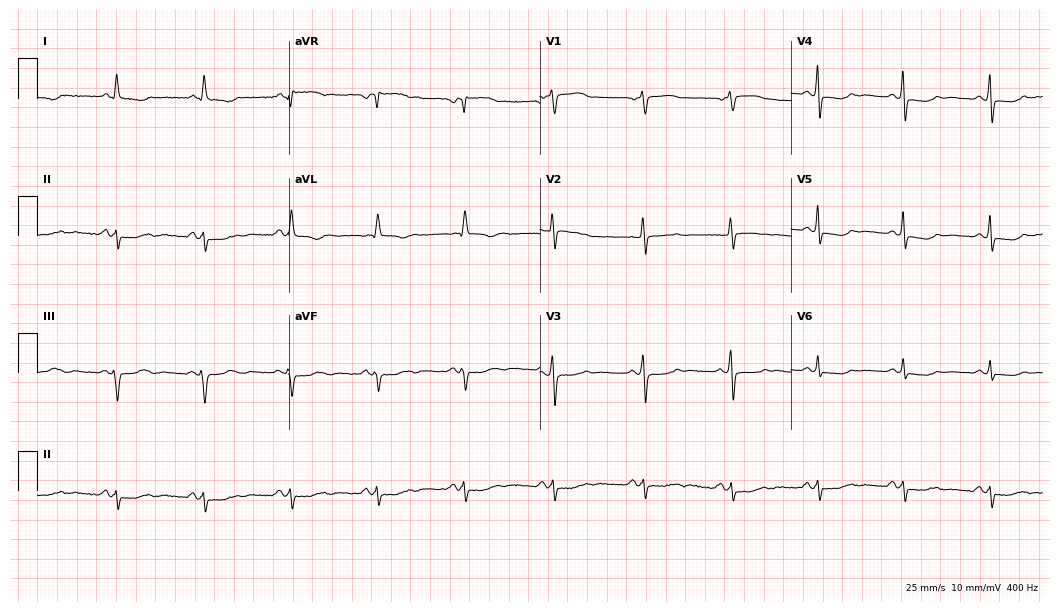
12-lead ECG from a 64-year-old woman. No first-degree AV block, right bundle branch block, left bundle branch block, sinus bradycardia, atrial fibrillation or sinus tachycardia recorded for this tracing. Only these six findings were labelled.